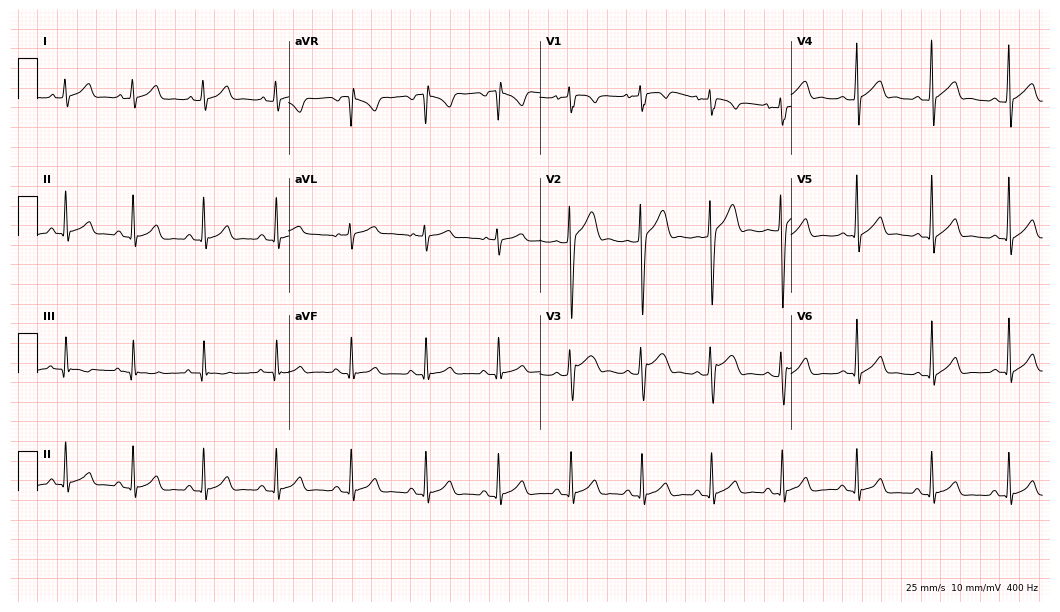
Electrocardiogram, an 18-year-old man. Overall reading on record: normal ECG.